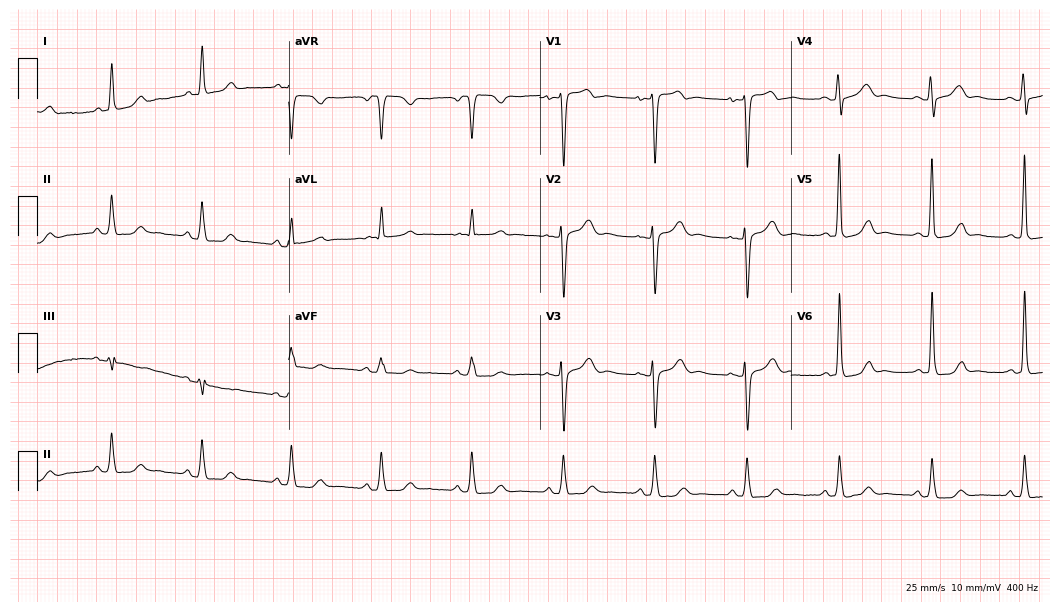
12-lead ECG from a 78-year-old female (10.2-second recording at 400 Hz). No first-degree AV block, right bundle branch block, left bundle branch block, sinus bradycardia, atrial fibrillation or sinus tachycardia recorded for this tracing. Only these six findings were labelled.